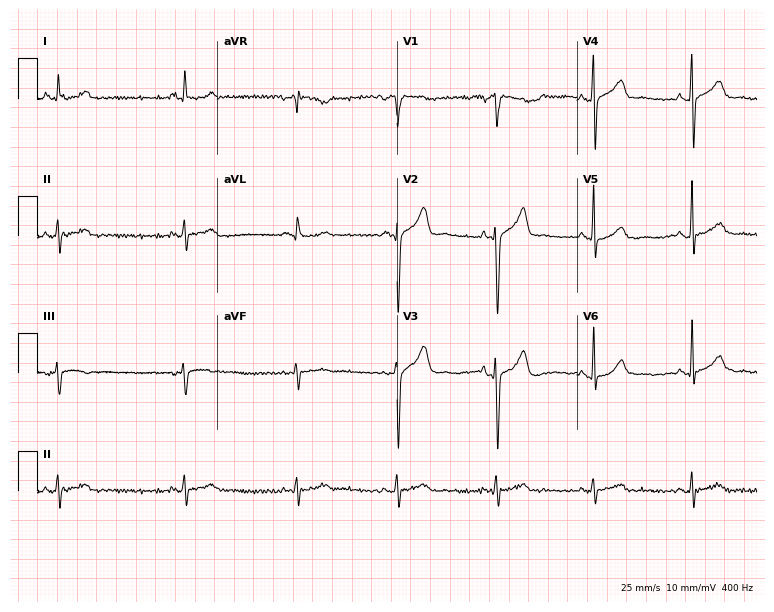
Electrocardiogram, a man, 59 years old. Of the six screened findings (first-degree AV block, right bundle branch block (RBBB), left bundle branch block (LBBB), sinus bradycardia, atrial fibrillation (AF), sinus tachycardia), none is recorded. Findings outside these six are not listed.